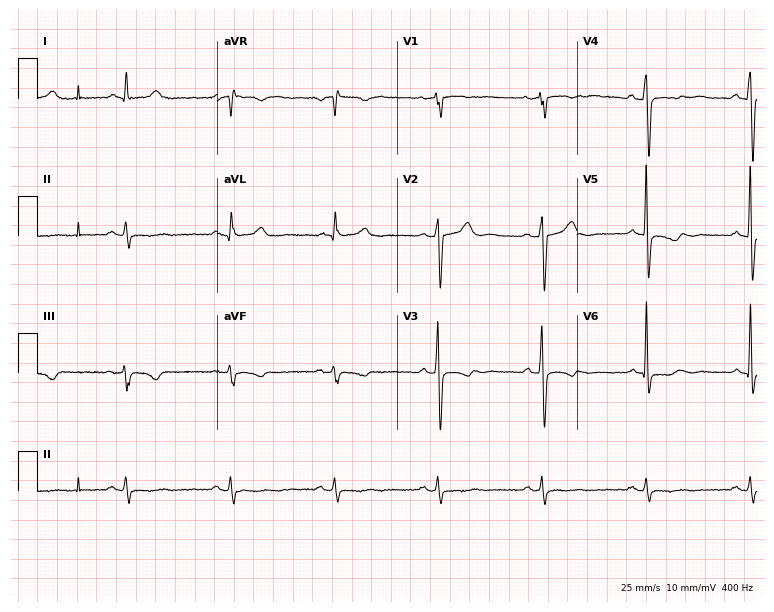
12-lead ECG from a 59-year-old male patient (7.3-second recording at 400 Hz). No first-degree AV block, right bundle branch block (RBBB), left bundle branch block (LBBB), sinus bradycardia, atrial fibrillation (AF) or sinus tachycardia recorded for this tracing. Only these six findings were labelled.